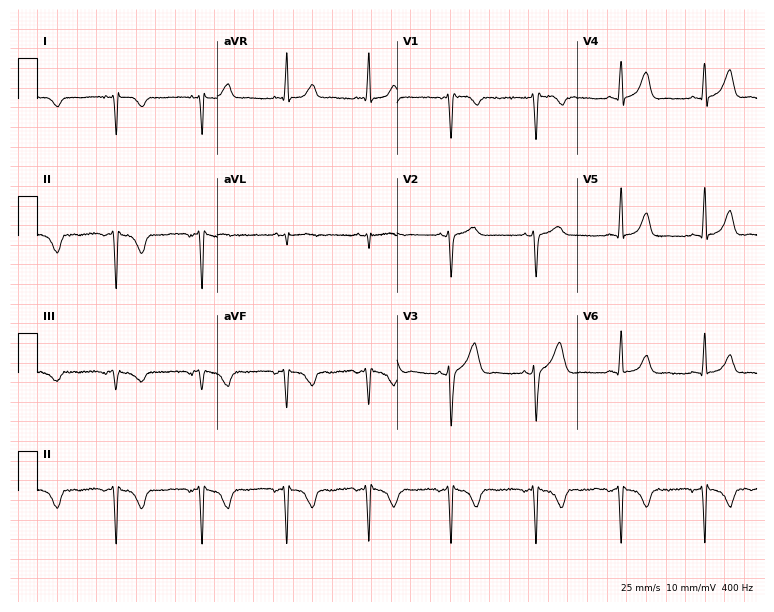
Electrocardiogram (7.3-second recording at 400 Hz), a 50-year-old female. Of the six screened findings (first-degree AV block, right bundle branch block, left bundle branch block, sinus bradycardia, atrial fibrillation, sinus tachycardia), none is recorded. Only these six findings were labelled.